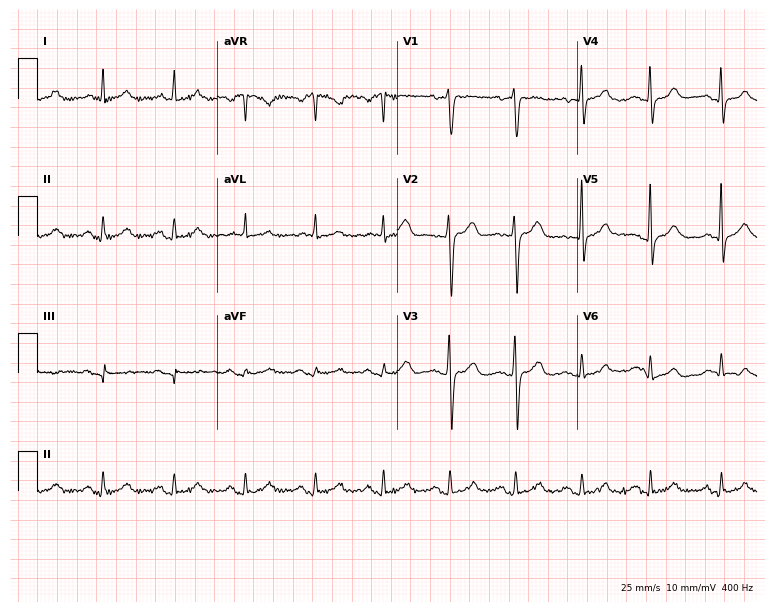
Electrocardiogram (7.3-second recording at 400 Hz), a male, 33 years old. Of the six screened findings (first-degree AV block, right bundle branch block, left bundle branch block, sinus bradycardia, atrial fibrillation, sinus tachycardia), none is recorded. Only these six findings were labelled.